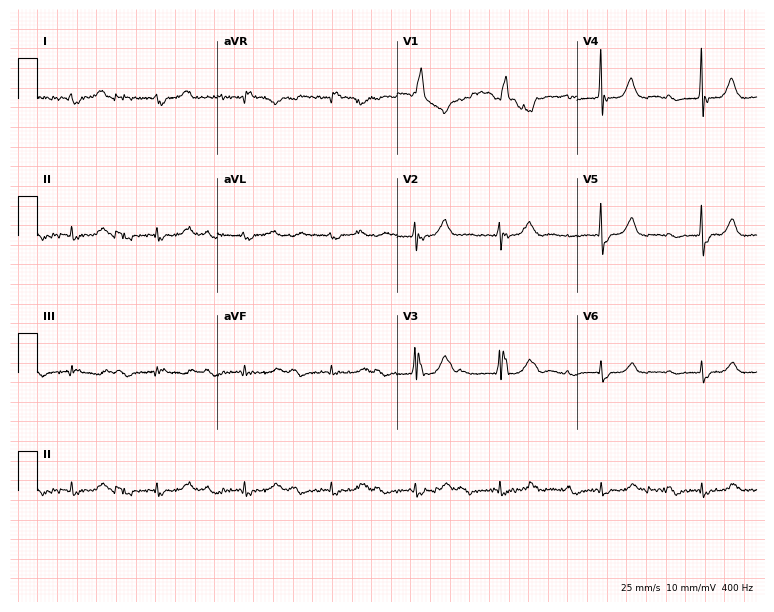
12-lead ECG from a woman, 78 years old. Shows first-degree AV block, right bundle branch block, atrial fibrillation.